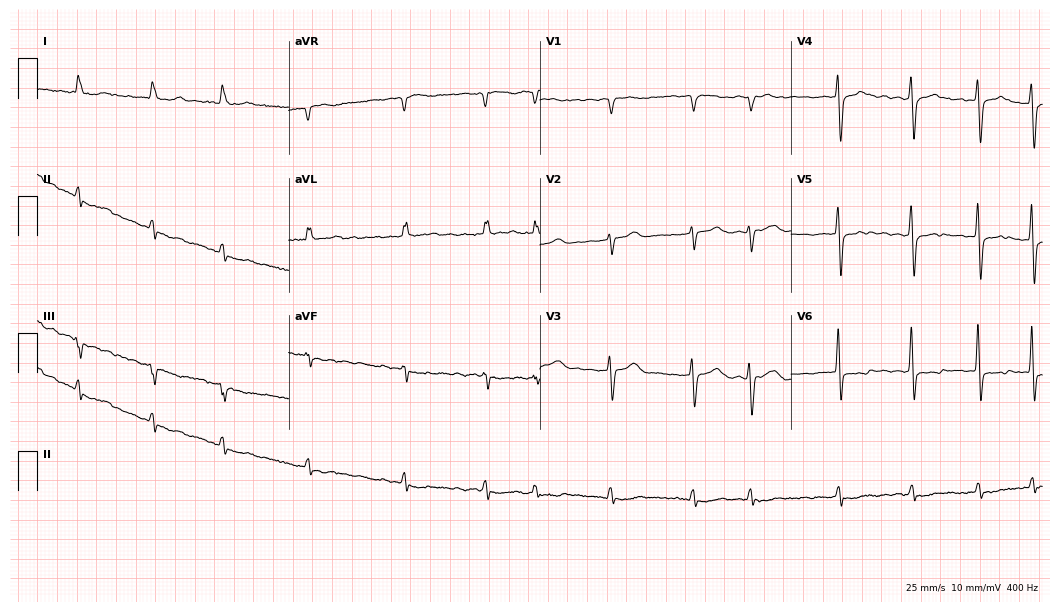
12-lead ECG from a 77-year-old male (10.2-second recording at 400 Hz). Shows atrial fibrillation.